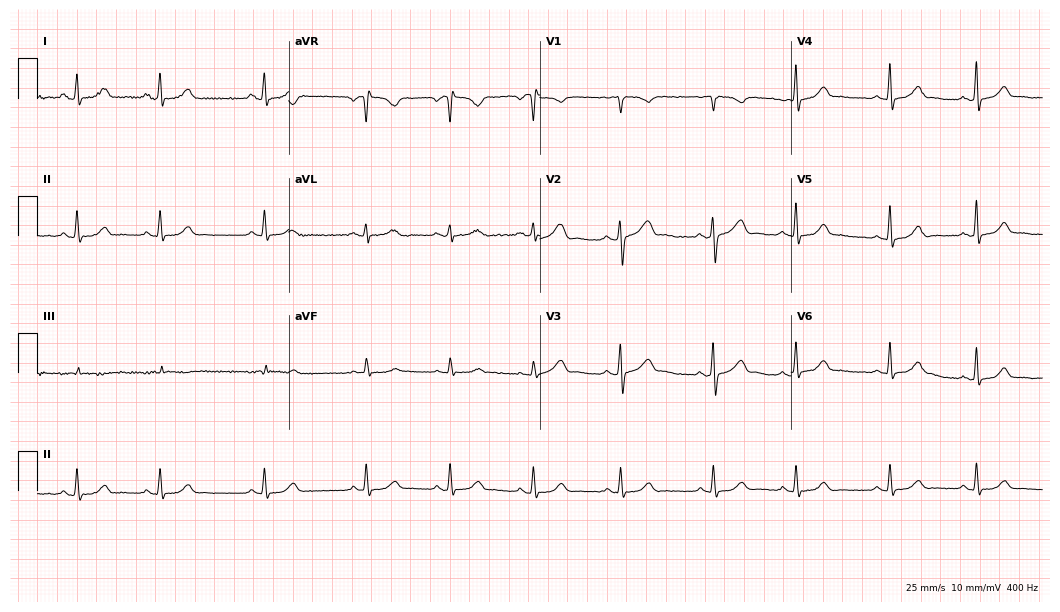
Electrocardiogram, a female, 18 years old. Of the six screened findings (first-degree AV block, right bundle branch block (RBBB), left bundle branch block (LBBB), sinus bradycardia, atrial fibrillation (AF), sinus tachycardia), none is recorded.